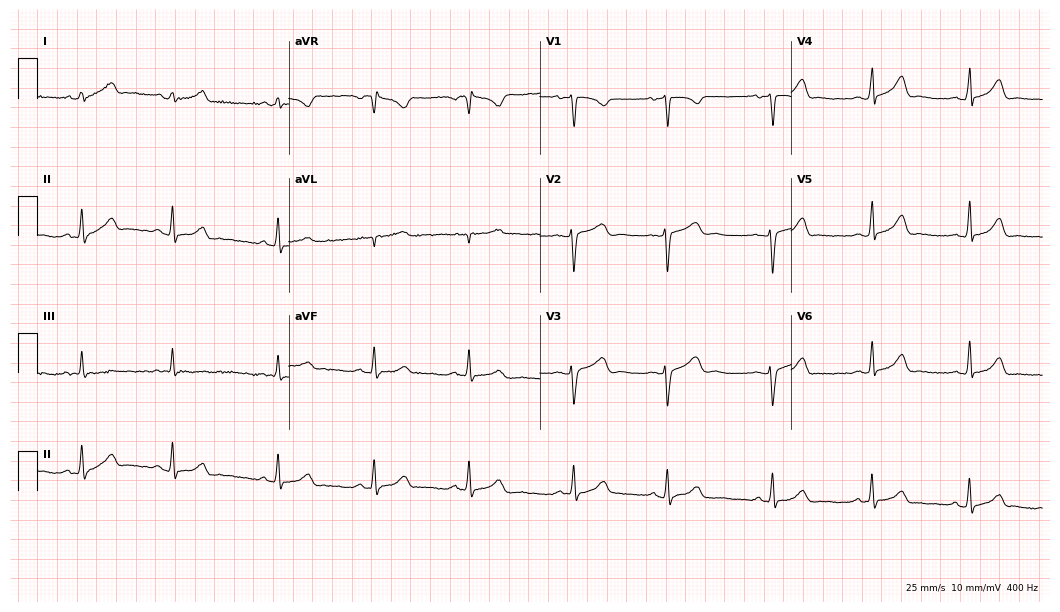
ECG (10.2-second recording at 400 Hz) — a female, 21 years old. Labelled as a normal ECG.